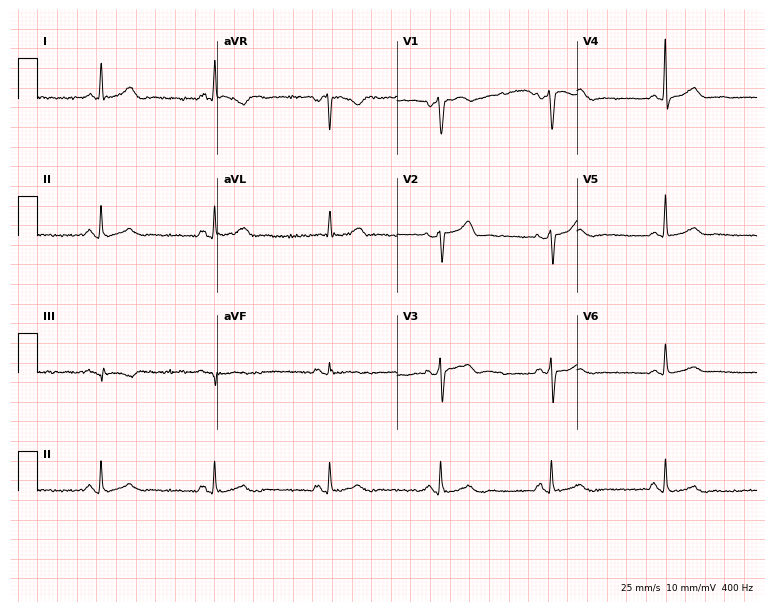
Standard 12-lead ECG recorded from a 49-year-old man (7.3-second recording at 400 Hz). Read as a normal ECG.